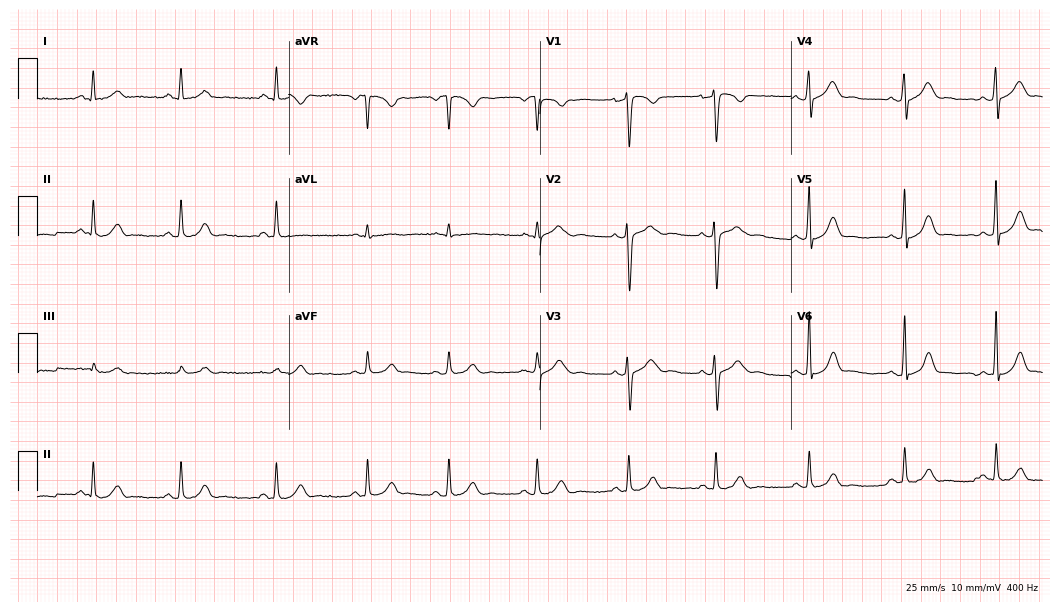
ECG — a 21-year-old female. Labelled as a normal ECG.